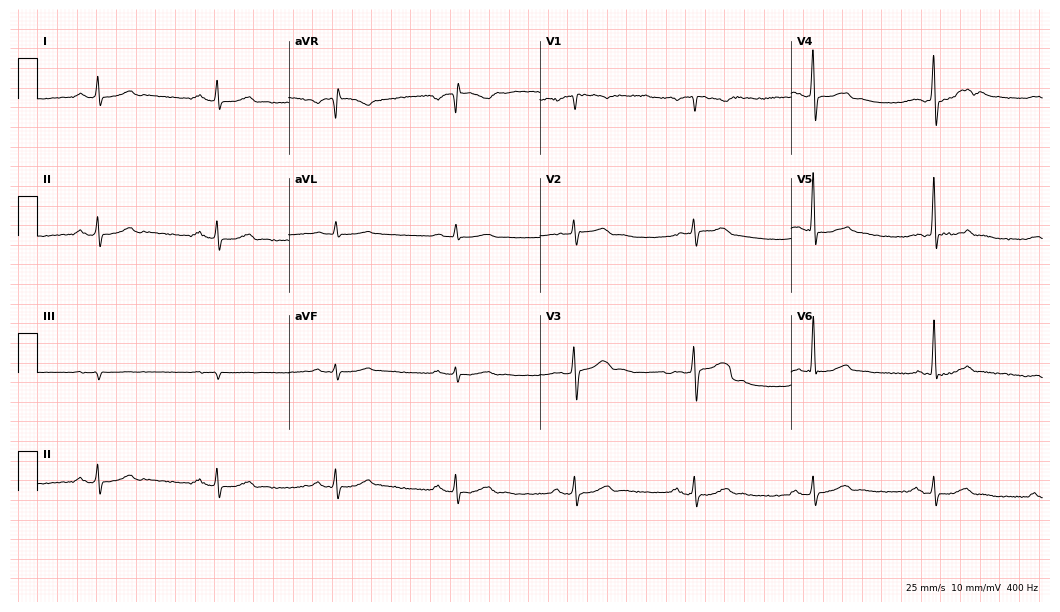
ECG — a 79-year-old woman. Labelled as a normal ECG.